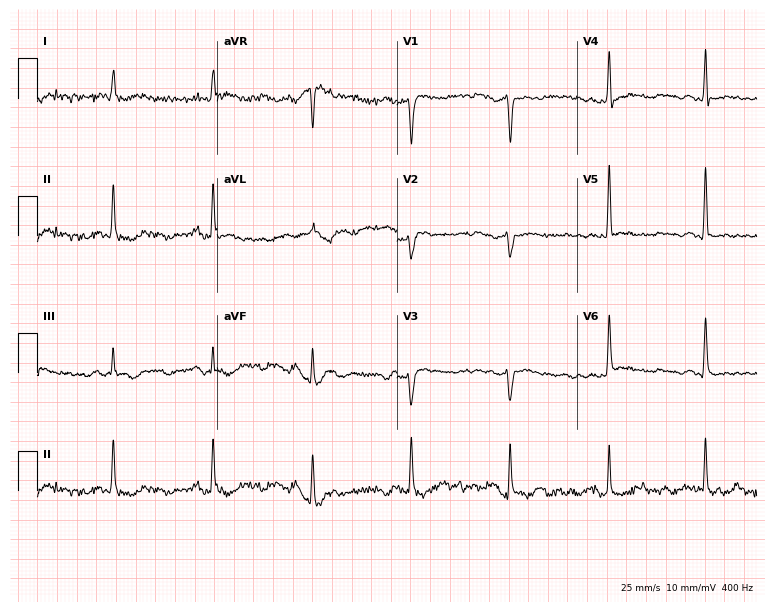
Standard 12-lead ECG recorded from a 68-year-old woman. None of these six findings is recorded: first-degree AV block, right bundle branch block, left bundle branch block, sinus bradycardia, atrial fibrillation, sinus tachycardia. Only these six findings were labelled.